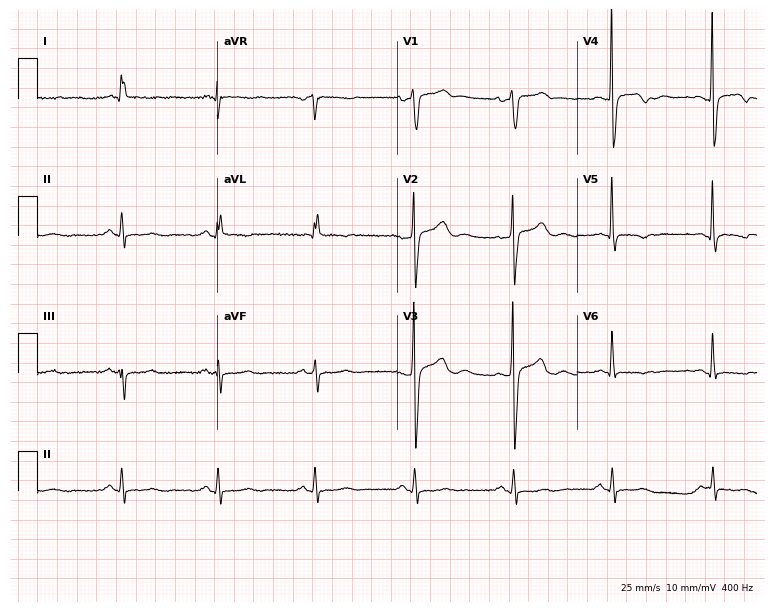
Resting 12-lead electrocardiogram (7.3-second recording at 400 Hz). Patient: a 50-year-old male. None of these six findings is recorded: first-degree AV block, right bundle branch block, left bundle branch block, sinus bradycardia, atrial fibrillation, sinus tachycardia. Findings outside these six are not listed.